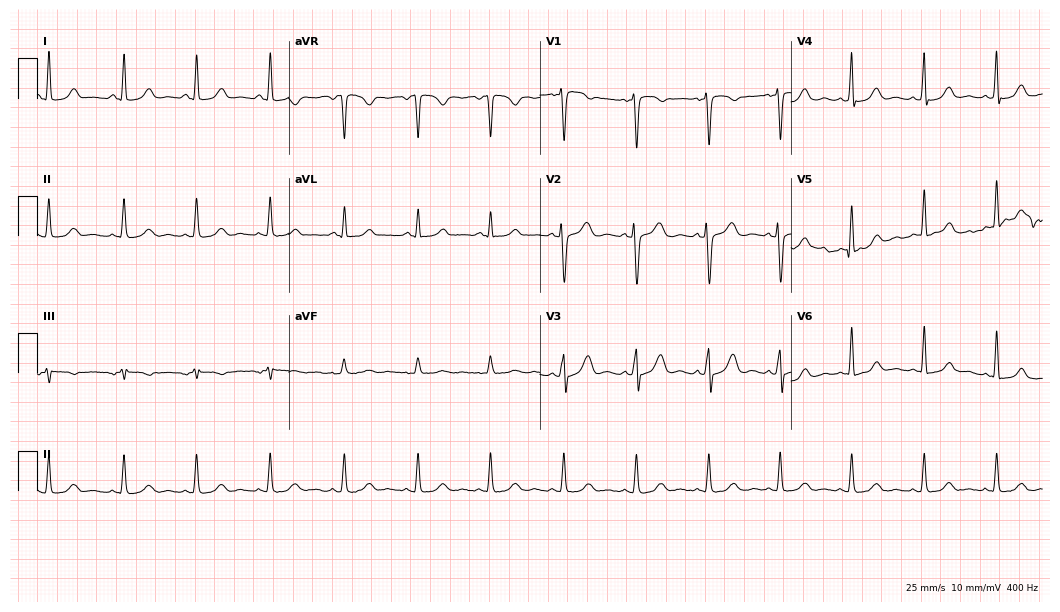
Electrocardiogram, a female, 38 years old. Overall reading on record: normal ECG.